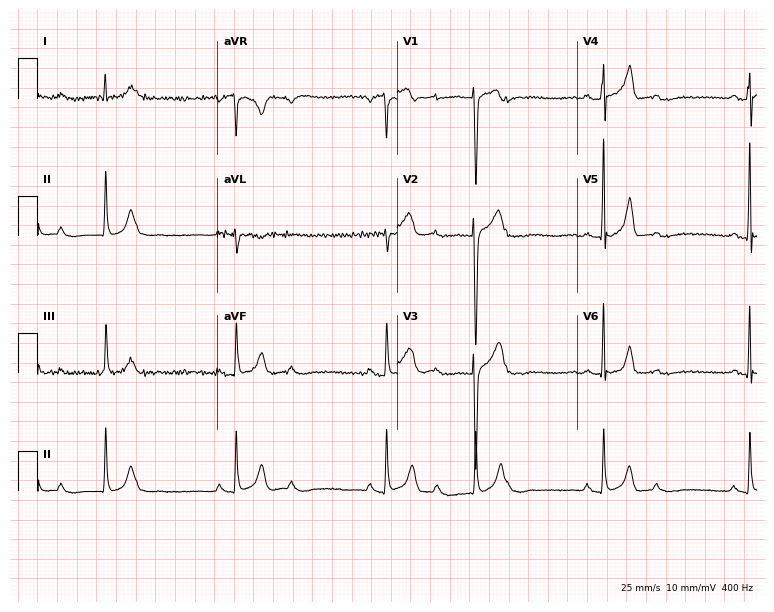
12-lead ECG from a 17-year-old male patient (7.3-second recording at 400 Hz). No first-degree AV block, right bundle branch block (RBBB), left bundle branch block (LBBB), sinus bradycardia, atrial fibrillation (AF) or sinus tachycardia recorded for this tracing. Other findings, if any, are not listed.